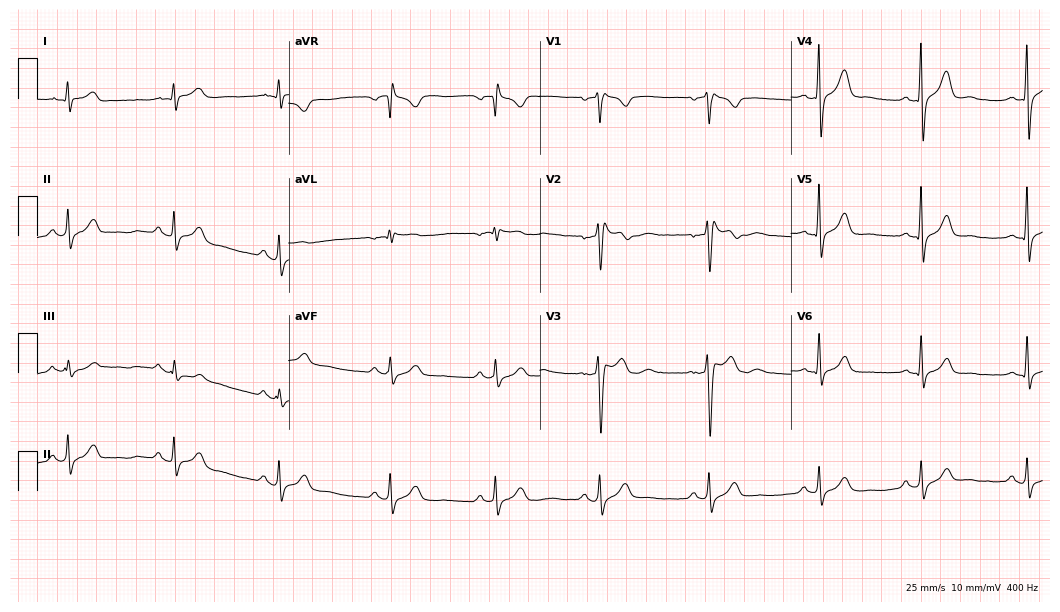
Electrocardiogram, a male, 35 years old. Of the six screened findings (first-degree AV block, right bundle branch block, left bundle branch block, sinus bradycardia, atrial fibrillation, sinus tachycardia), none is recorded.